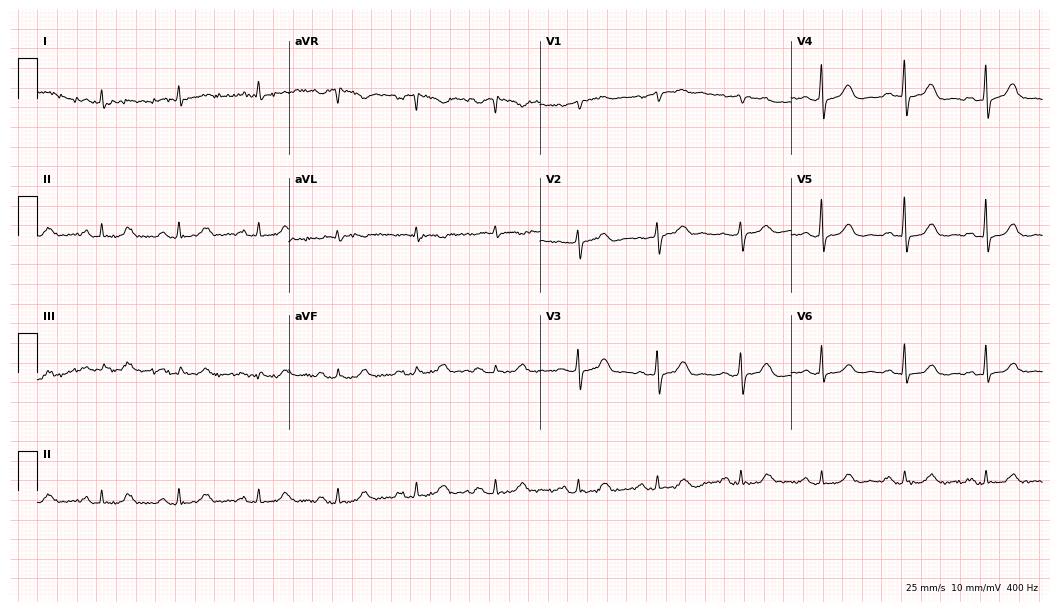
Resting 12-lead electrocardiogram. Patient: a 77-year-old female. None of these six findings is recorded: first-degree AV block, right bundle branch block (RBBB), left bundle branch block (LBBB), sinus bradycardia, atrial fibrillation (AF), sinus tachycardia. Findings outside these six are not listed.